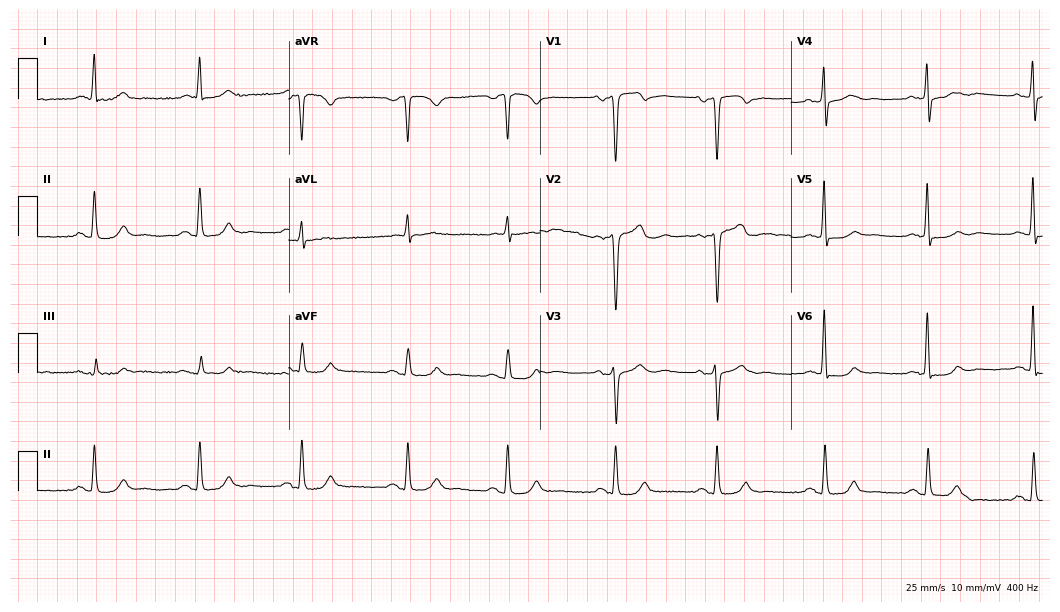
Resting 12-lead electrocardiogram. Patient: a 68-year-old male. Read as a normal ECG.